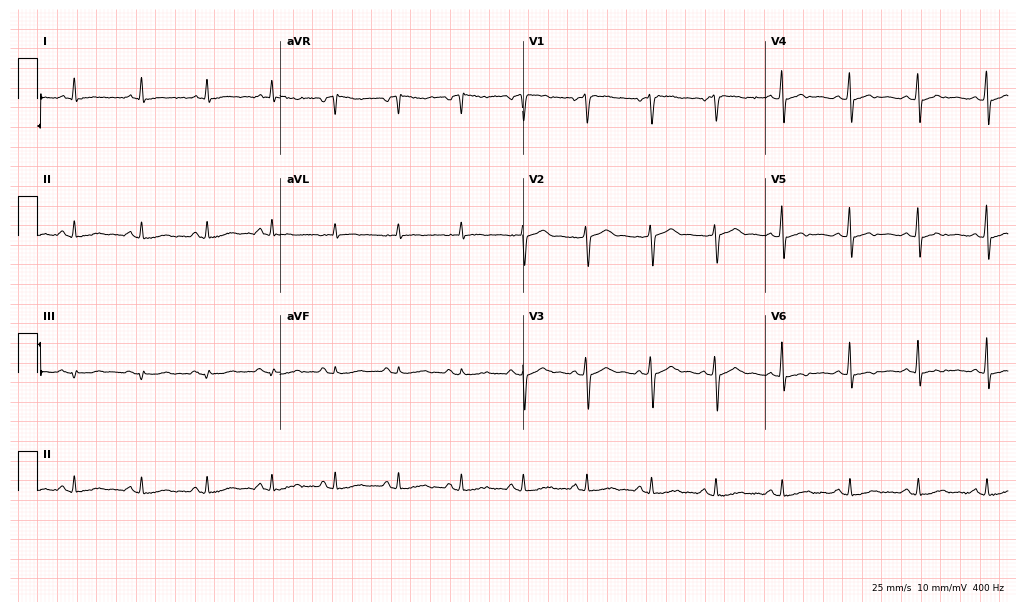
12-lead ECG from a man, 51 years old. Screened for six findings — first-degree AV block, right bundle branch block, left bundle branch block, sinus bradycardia, atrial fibrillation, sinus tachycardia — none is recorded.